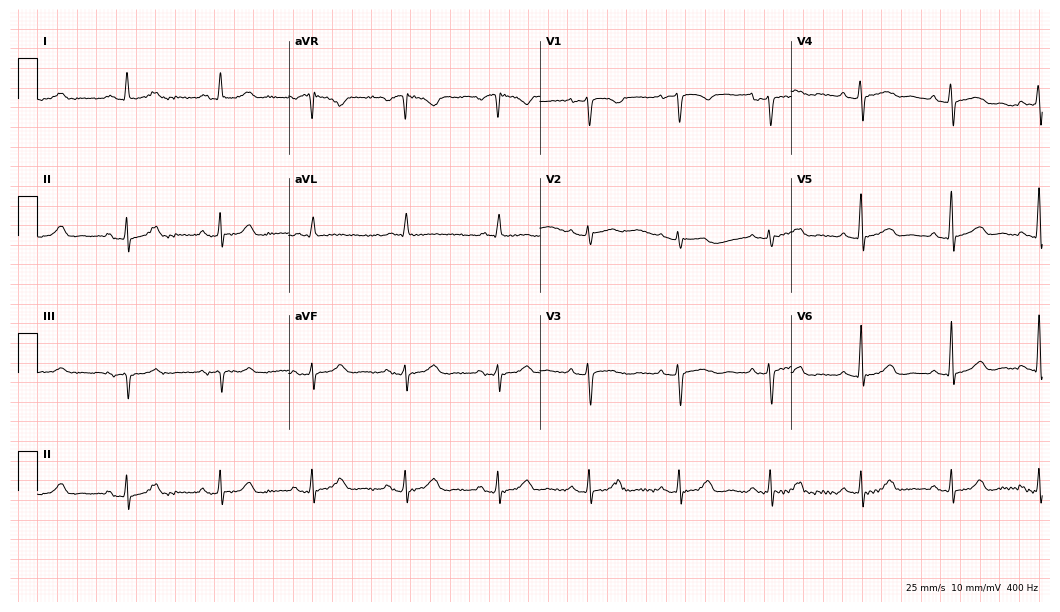
Resting 12-lead electrocardiogram (10.2-second recording at 400 Hz). Patient: a 74-year-old woman. Read as a normal ECG.